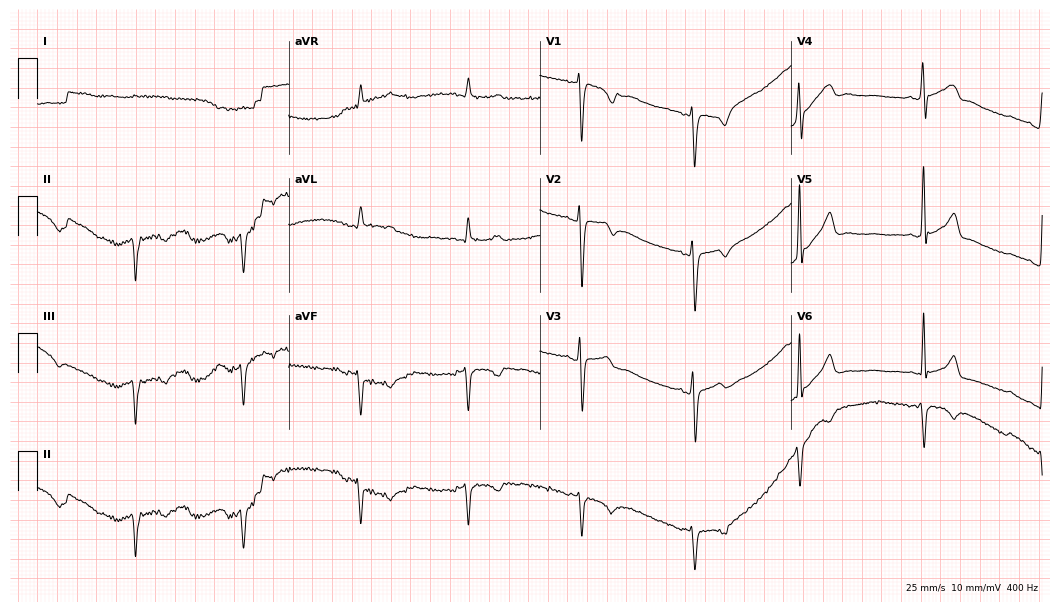
Standard 12-lead ECG recorded from a 22-year-old man. None of these six findings is recorded: first-degree AV block, right bundle branch block (RBBB), left bundle branch block (LBBB), sinus bradycardia, atrial fibrillation (AF), sinus tachycardia.